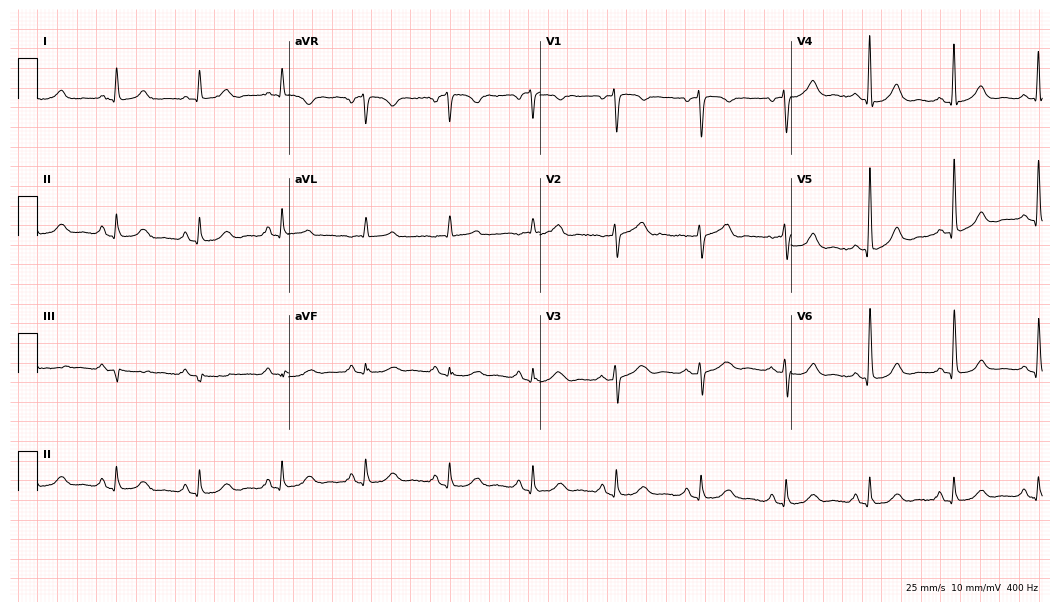
Resting 12-lead electrocardiogram (10.2-second recording at 400 Hz). Patient: a woman, 82 years old. Read as a normal ECG.